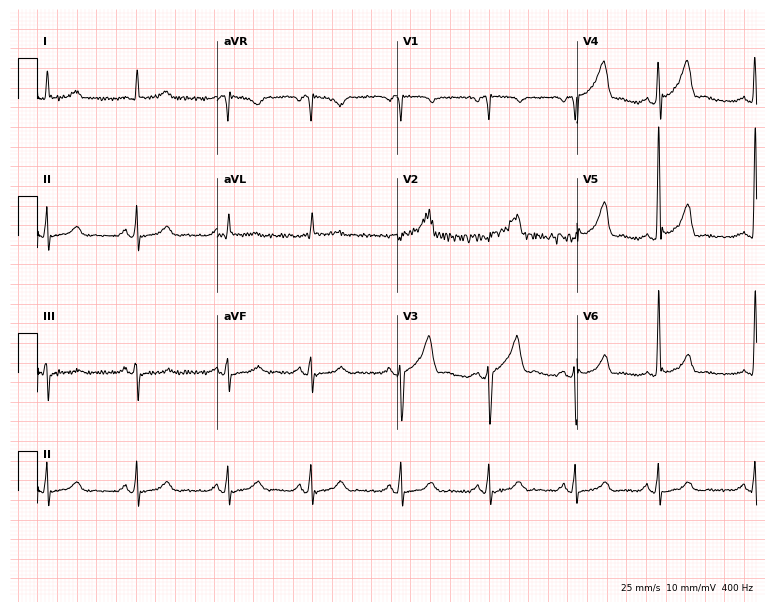
Electrocardiogram, a 66-year-old male patient. Overall reading on record: normal ECG.